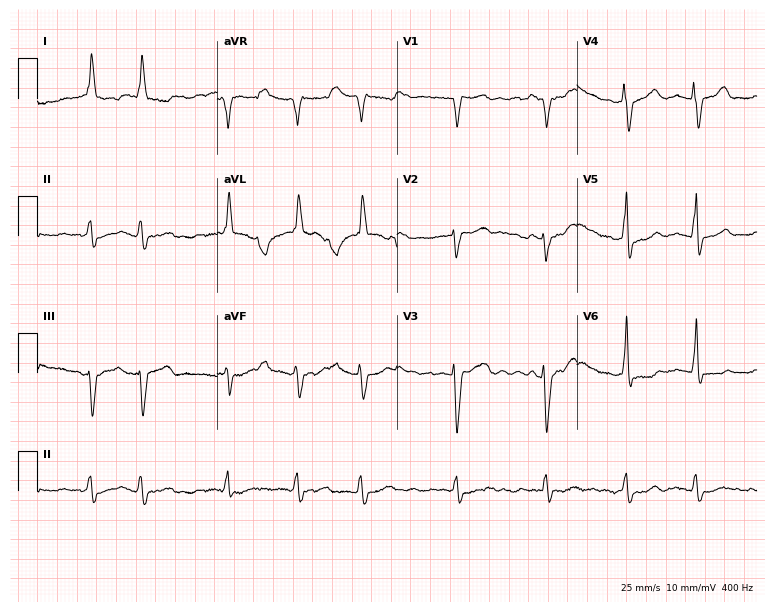
ECG (7.3-second recording at 400 Hz) — an 82-year-old woman. Findings include left bundle branch block, atrial fibrillation.